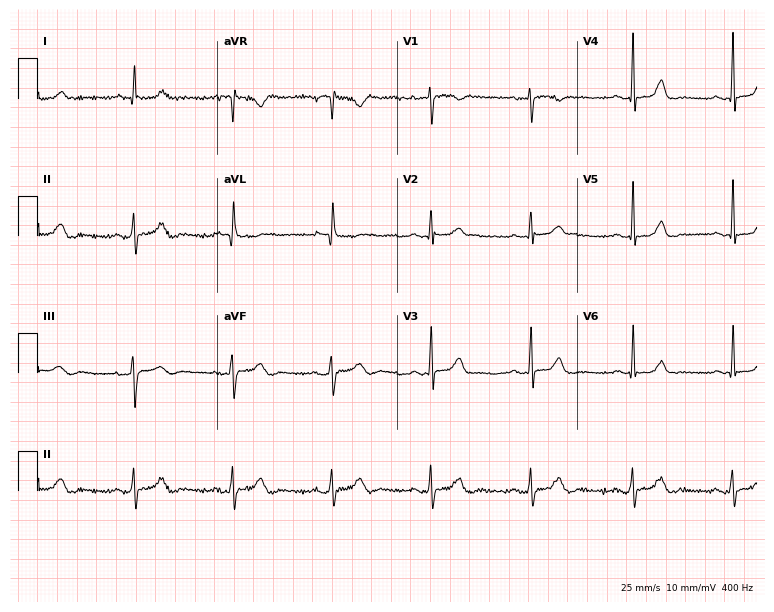
ECG — a female, 53 years old. Labelled as a normal ECG.